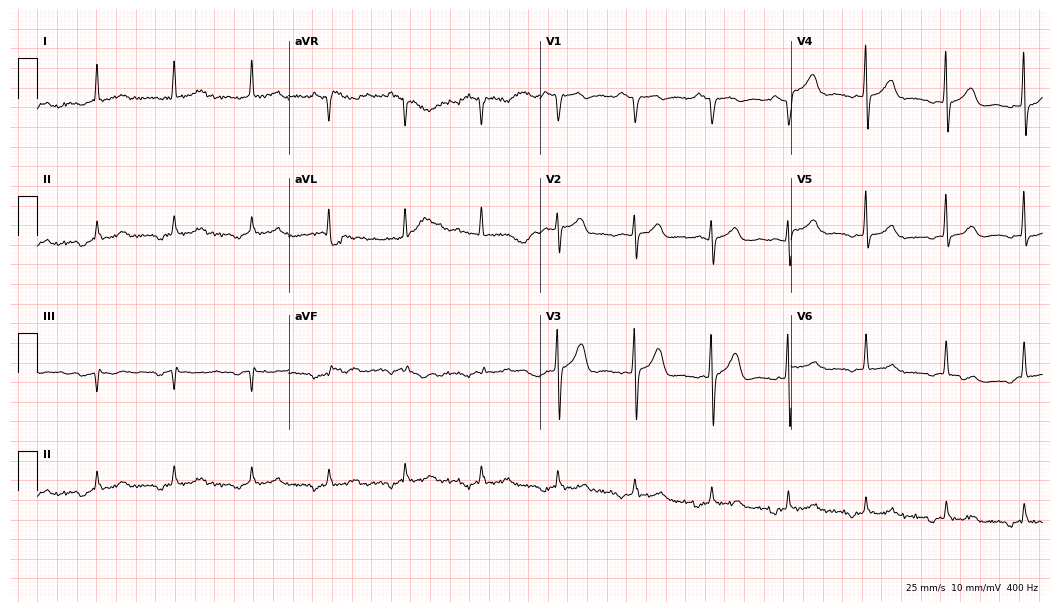
ECG — a 72-year-old male patient. Screened for six findings — first-degree AV block, right bundle branch block, left bundle branch block, sinus bradycardia, atrial fibrillation, sinus tachycardia — none is recorded.